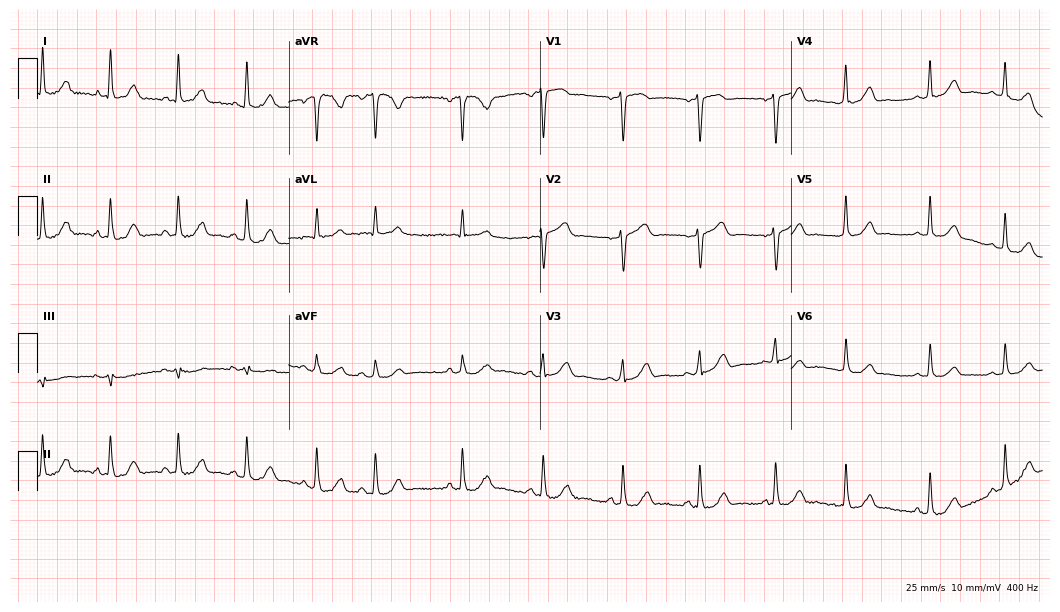
12-lead ECG from a 61-year-old female patient (10.2-second recording at 400 Hz). No first-degree AV block, right bundle branch block (RBBB), left bundle branch block (LBBB), sinus bradycardia, atrial fibrillation (AF) or sinus tachycardia recorded for this tracing.